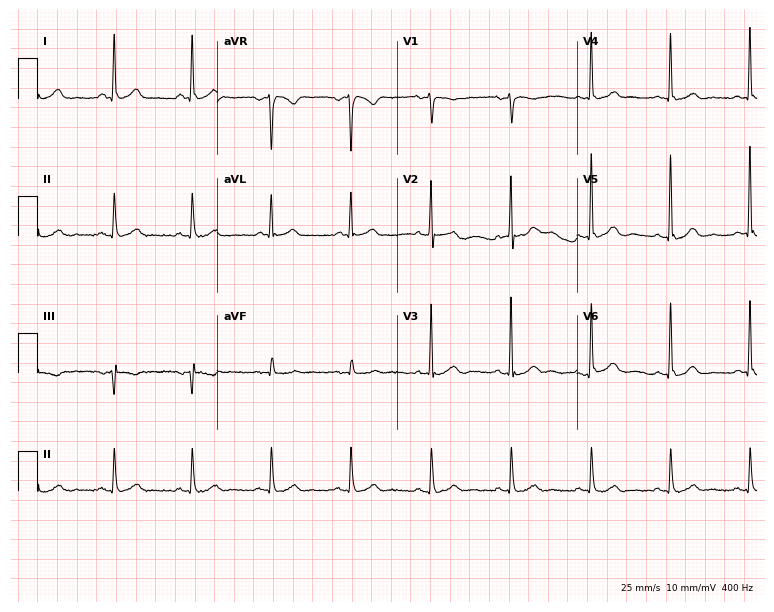
Resting 12-lead electrocardiogram. Patient: a 62-year-old man. None of these six findings is recorded: first-degree AV block, right bundle branch block, left bundle branch block, sinus bradycardia, atrial fibrillation, sinus tachycardia. Only these six findings were labelled.